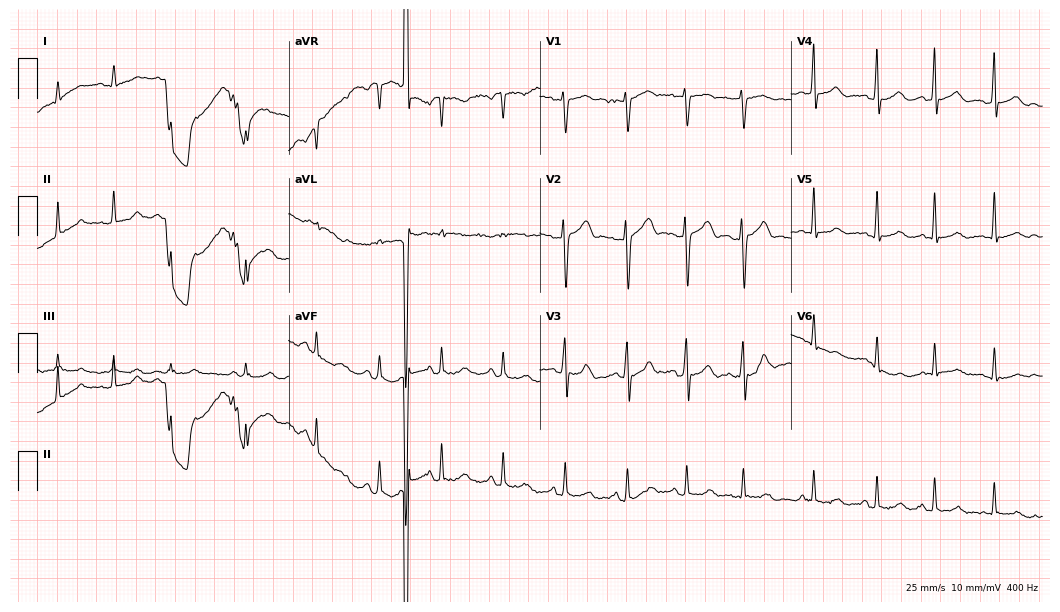
ECG — a man, 45 years old. Labelled as a normal ECG.